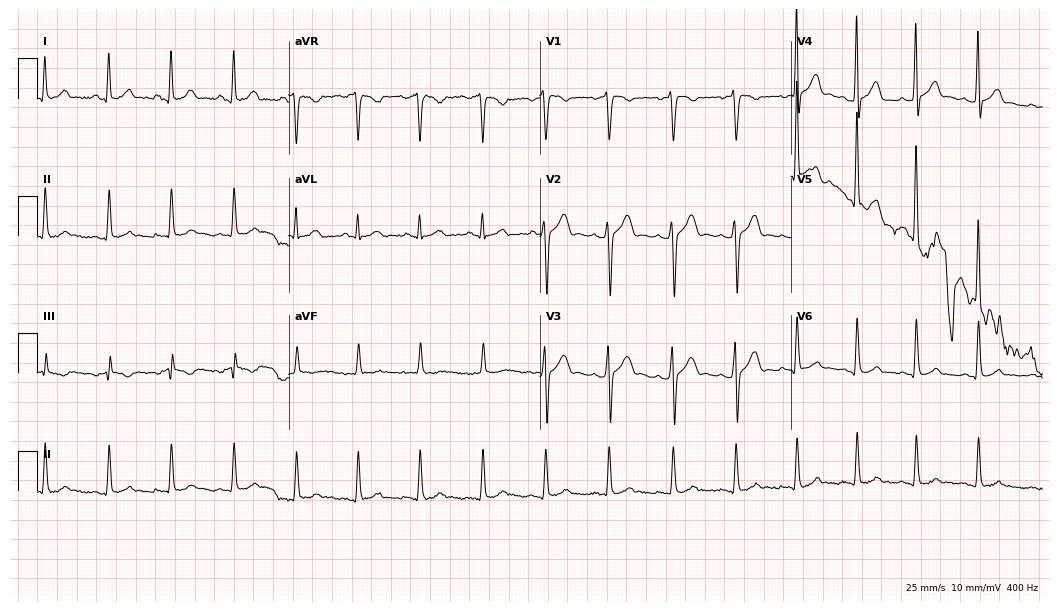
ECG — a man, 18 years old. Labelled as a normal ECG.